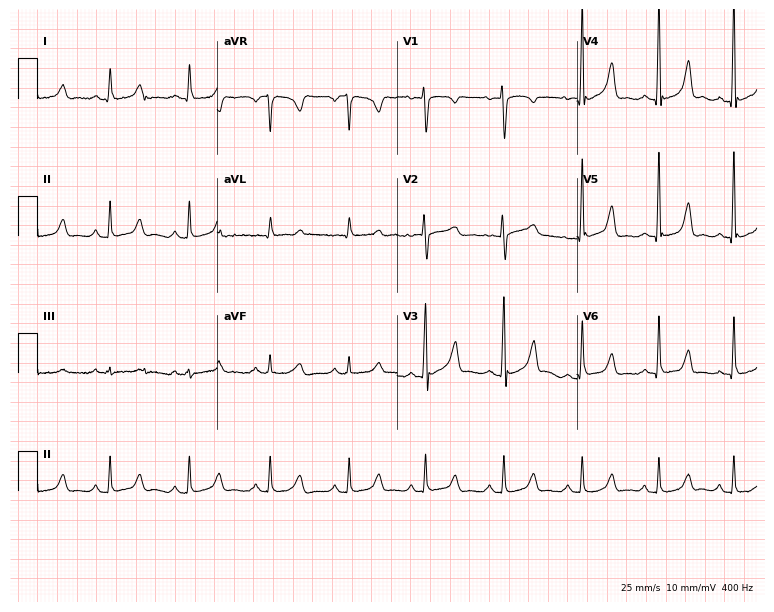
Resting 12-lead electrocardiogram. Patient: a 50-year-old female. Read as a normal ECG.